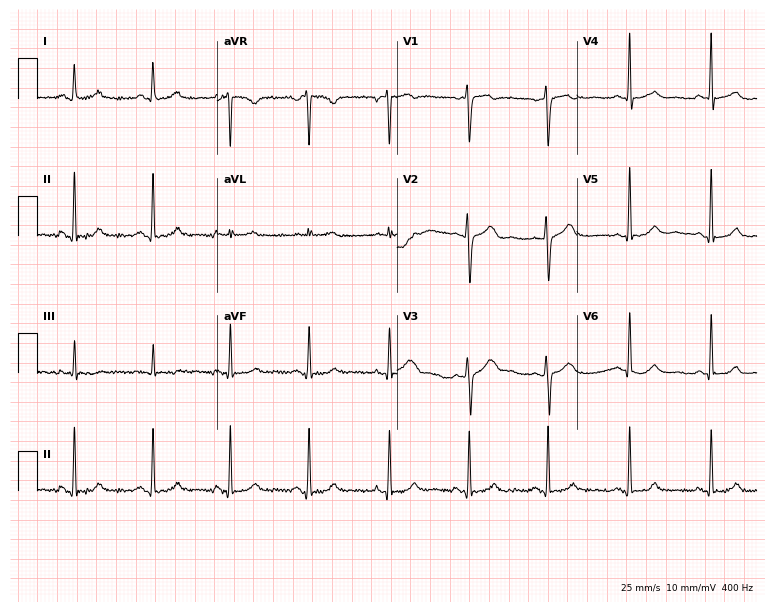
ECG — a 30-year-old female patient. Screened for six findings — first-degree AV block, right bundle branch block, left bundle branch block, sinus bradycardia, atrial fibrillation, sinus tachycardia — none is recorded. Only these six findings were labelled.